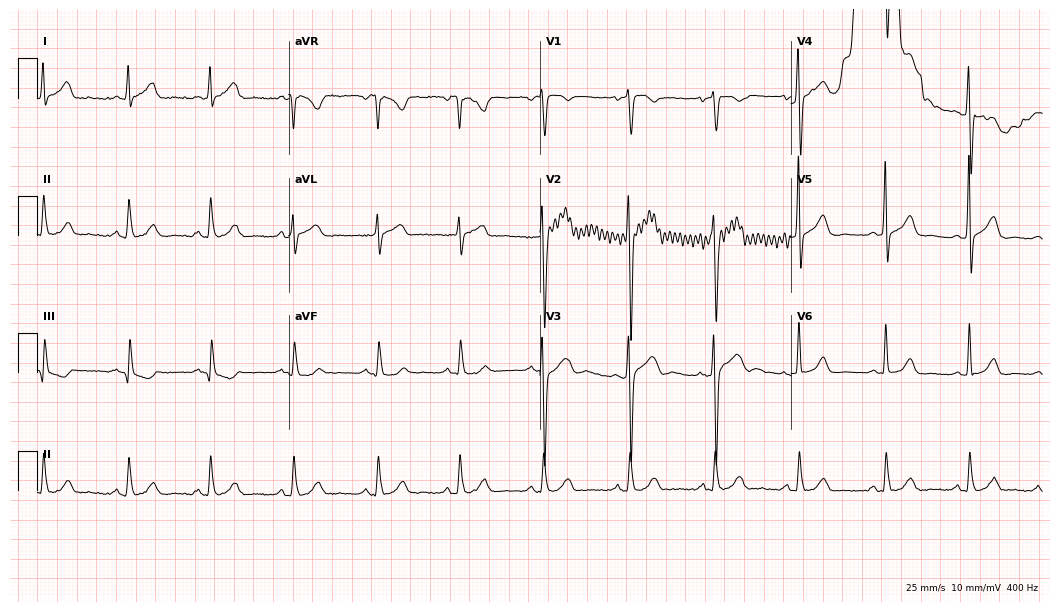
Resting 12-lead electrocardiogram. Patient: a 51-year-old male. Read as a normal ECG.